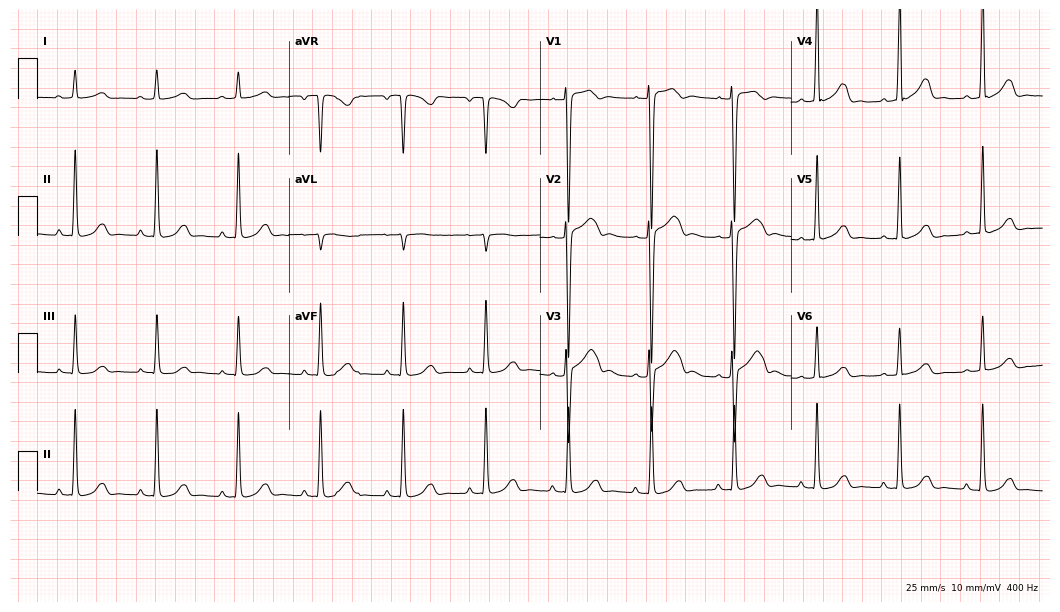
12-lead ECG from a 20-year-old male (10.2-second recording at 400 Hz). Recorded interpretation: within normal limits.